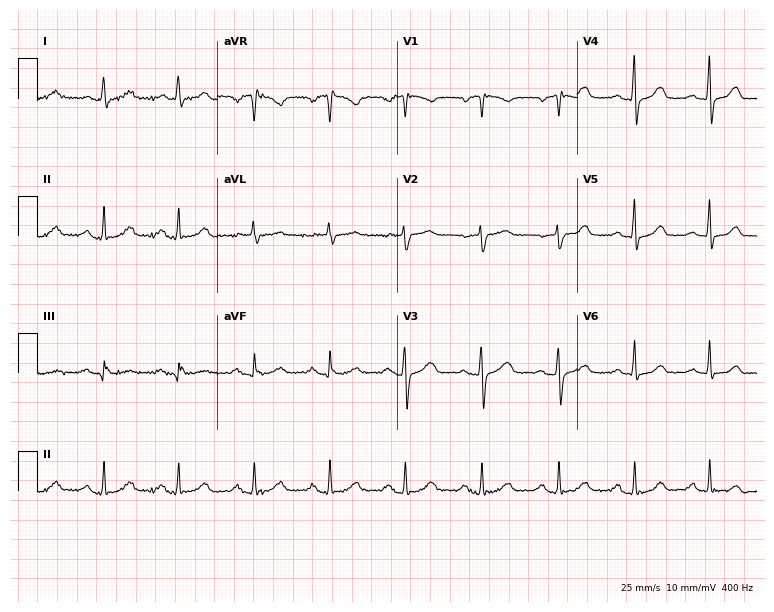
Standard 12-lead ECG recorded from a woman, 68 years old (7.3-second recording at 400 Hz). None of these six findings is recorded: first-degree AV block, right bundle branch block (RBBB), left bundle branch block (LBBB), sinus bradycardia, atrial fibrillation (AF), sinus tachycardia. Other findings, if any, are not listed.